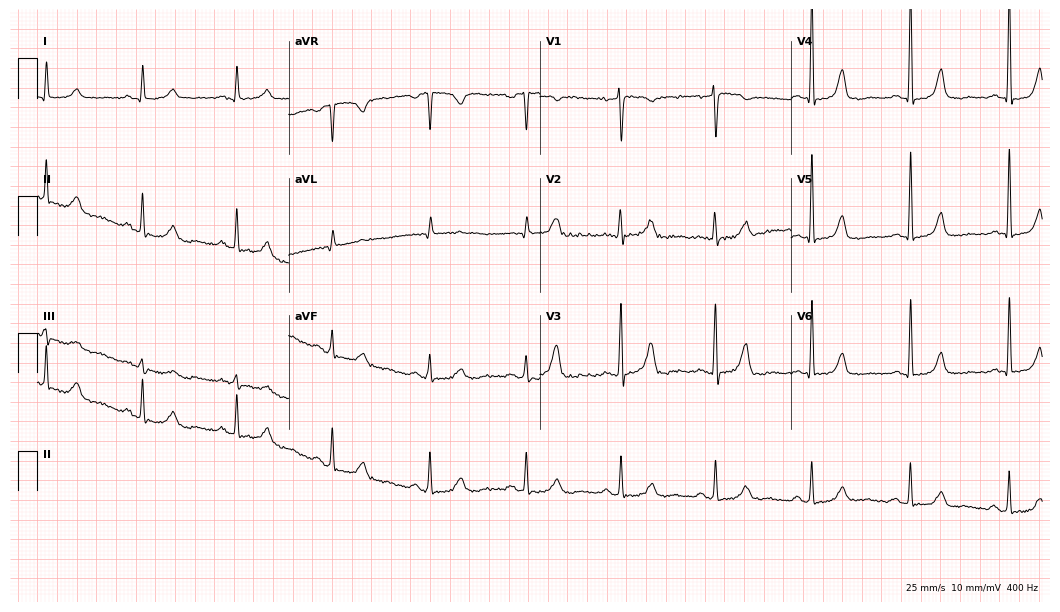
Electrocardiogram (10.2-second recording at 400 Hz), a 52-year-old female patient. Overall reading on record: normal ECG.